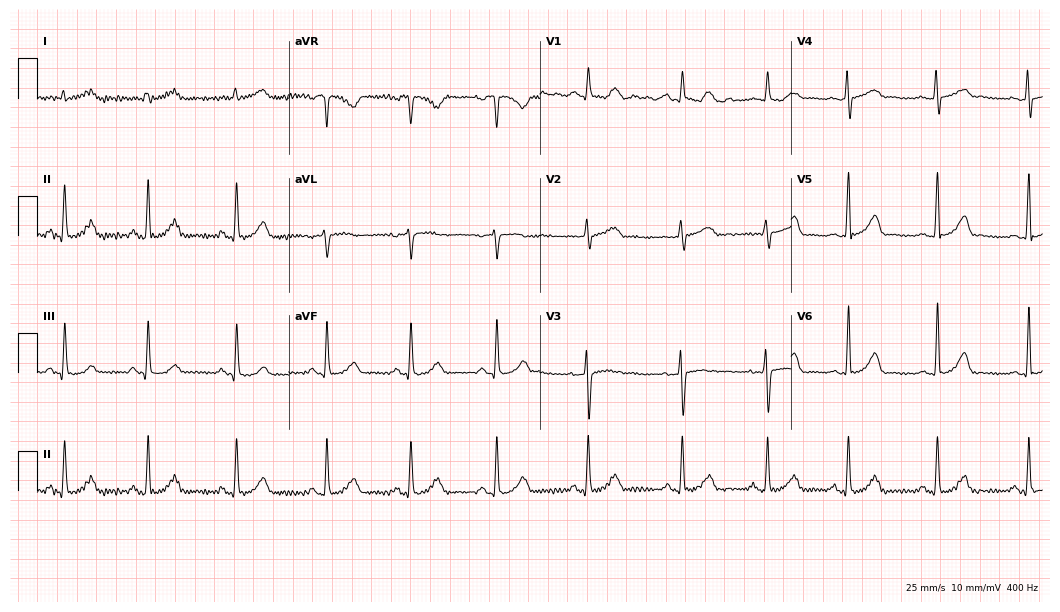
12-lead ECG from a woman, 35 years old. Labelled as a normal ECG.